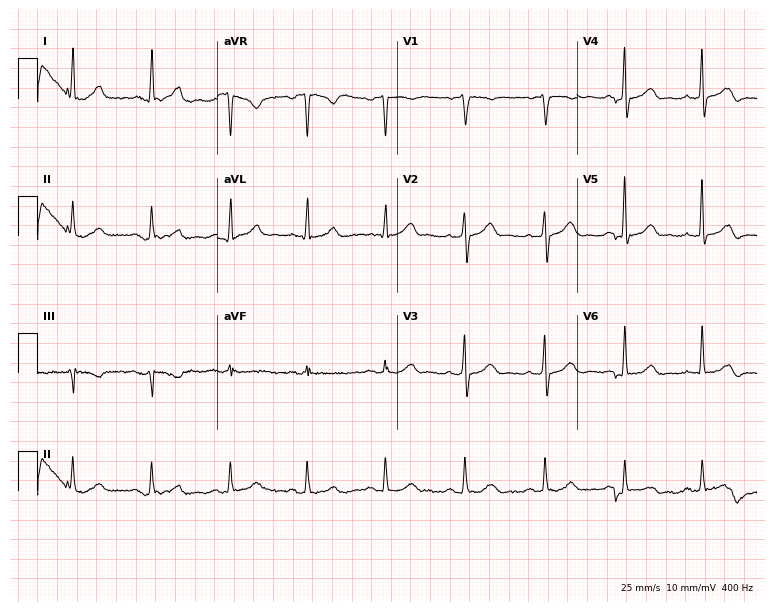
ECG — a 63-year-old male patient. Labelled as a normal ECG.